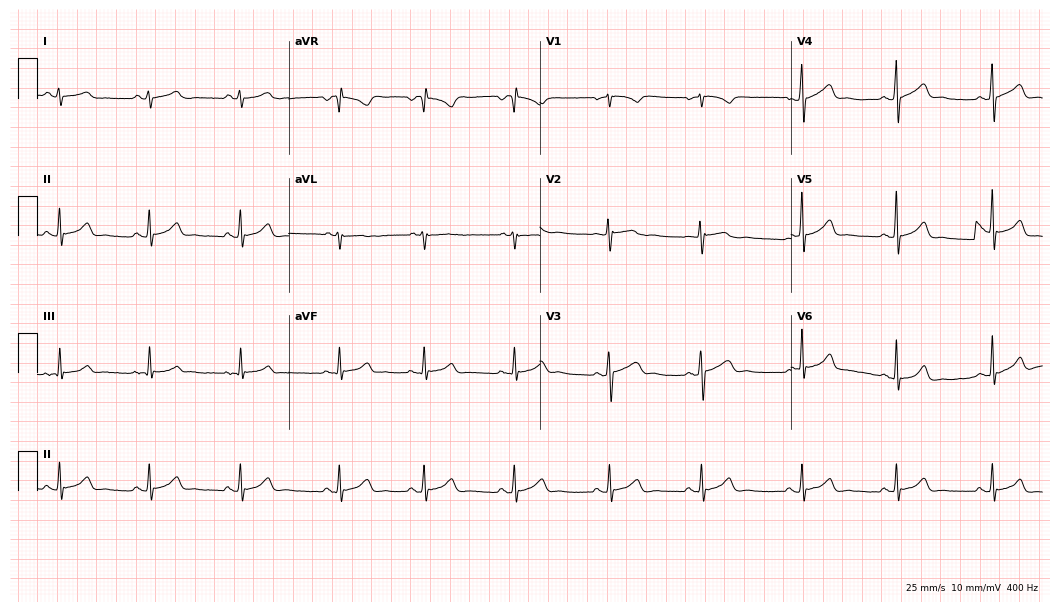
Electrocardiogram (10.2-second recording at 400 Hz), a 21-year-old female patient. Overall reading on record: normal ECG.